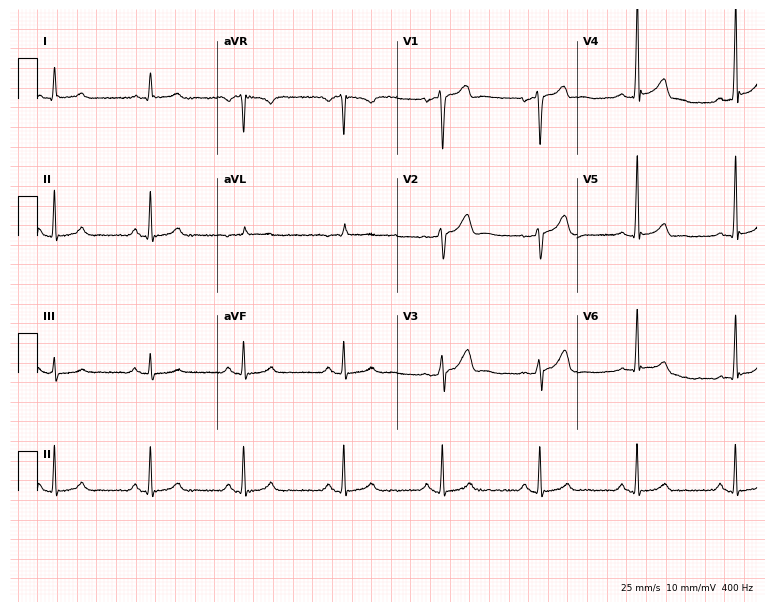
Electrocardiogram, a male patient, 42 years old. Overall reading on record: normal ECG.